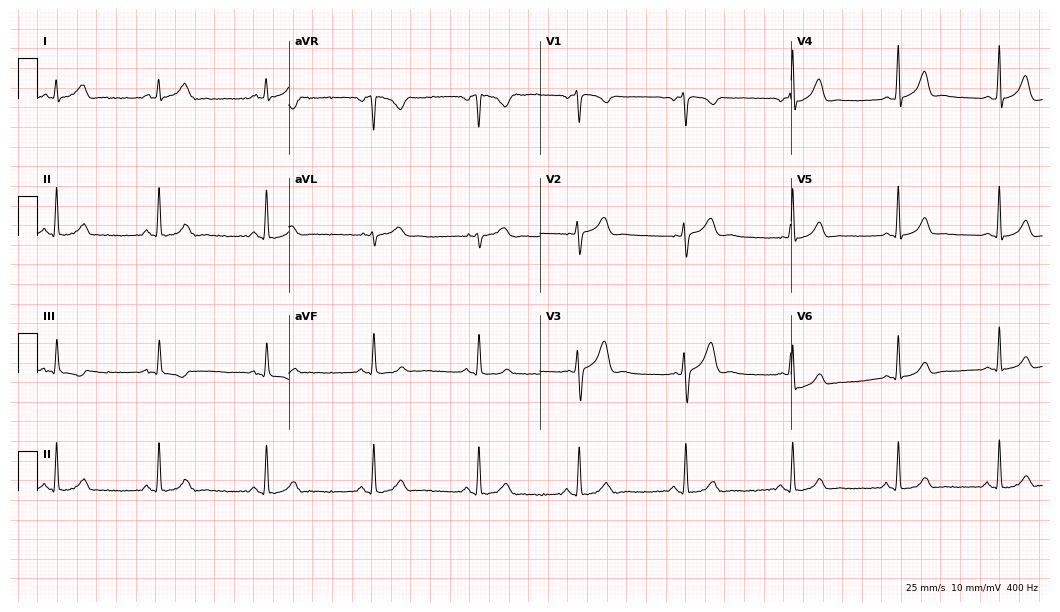
Standard 12-lead ECG recorded from a woman, 37 years old. Read as a normal ECG.